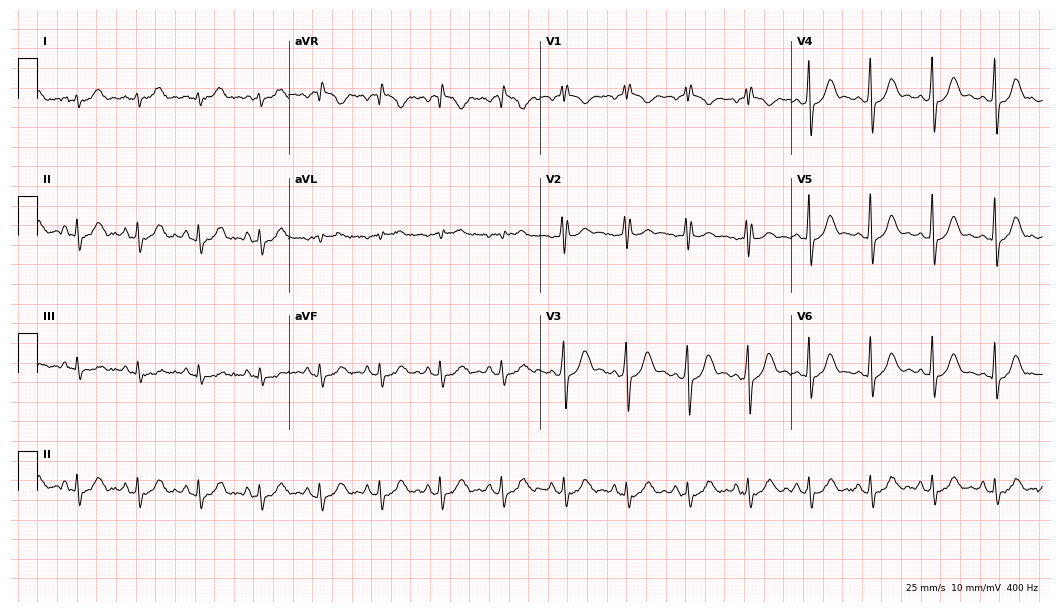
12-lead ECG from a 24-year-old male (10.2-second recording at 400 Hz). No first-degree AV block, right bundle branch block (RBBB), left bundle branch block (LBBB), sinus bradycardia, atrial fibrillation (AF) or sinus tachycardia recorded for this tracing. Findings outside these six are not listed.